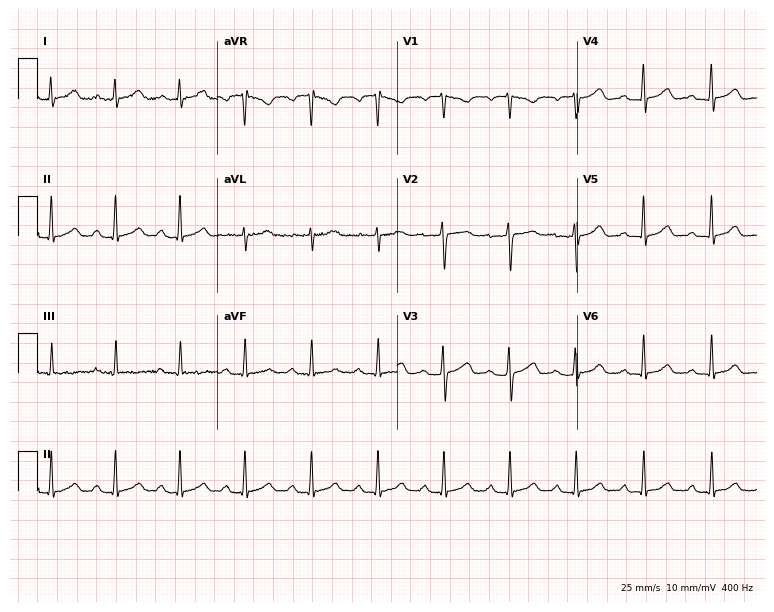
Standard 12-lead ECG recorded from a 43-year-old female patient (7.3-second recording at 400 Hz). Read as a normal ECG.